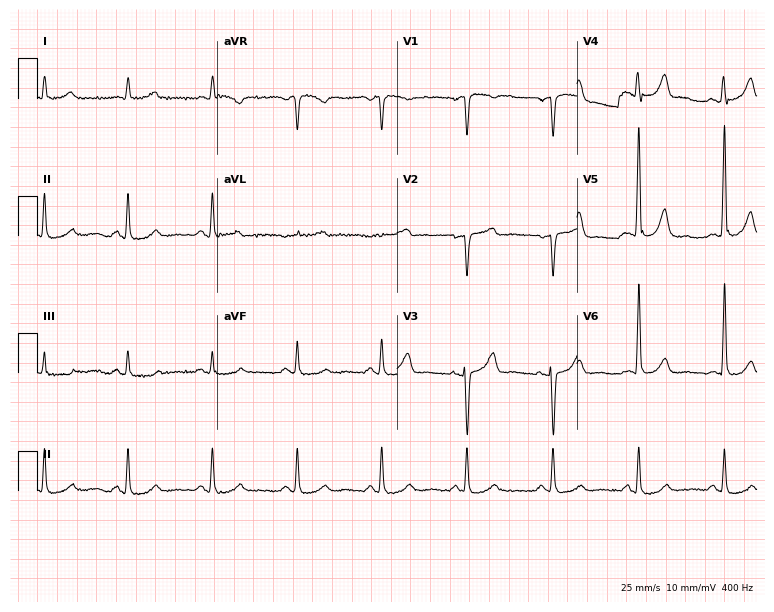
Standard 12-lead ECG recorded from a 75-year-old male. Read as a normal ECG.